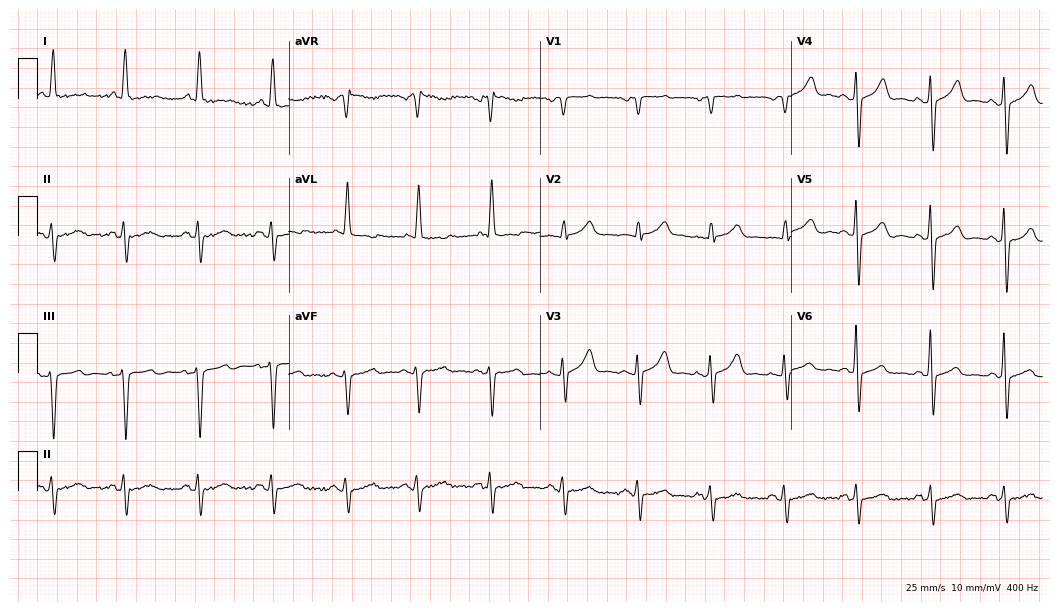
12-lead ECG from an 81-year-old male. No first-degree AV block, right bundle branch block, left bundle branch block, sinus bradycardia, atrial fibrillation or sinus tachycardia recorded for this tracing.